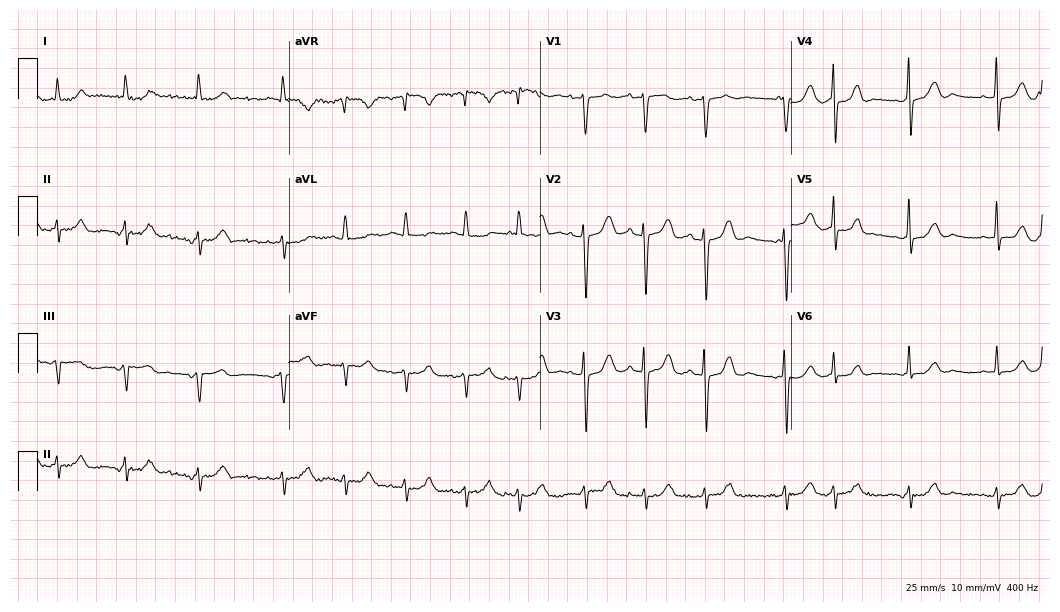
Standard 12-lead ECG recorded from an 83-year-old female. None of these six findings is recorded: first-degree AV block, right bundle branch block, left bundle branch block, sinus bradycardia, atrial fibrillation, sinus tachycardia.